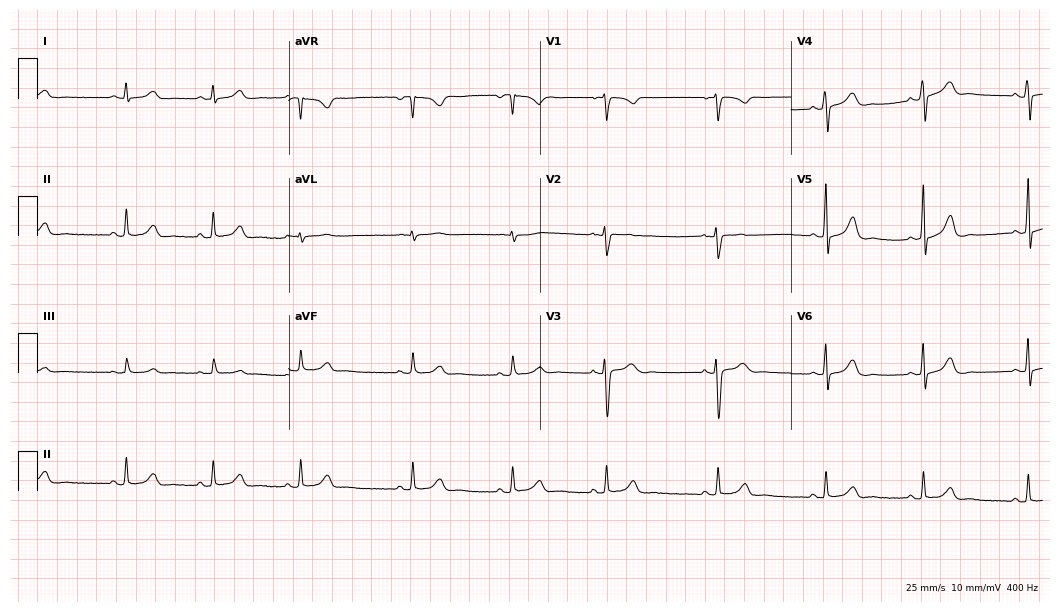
Standard 12-lead ECG recorded from a 28-year-old female. Read as a normal ECG.